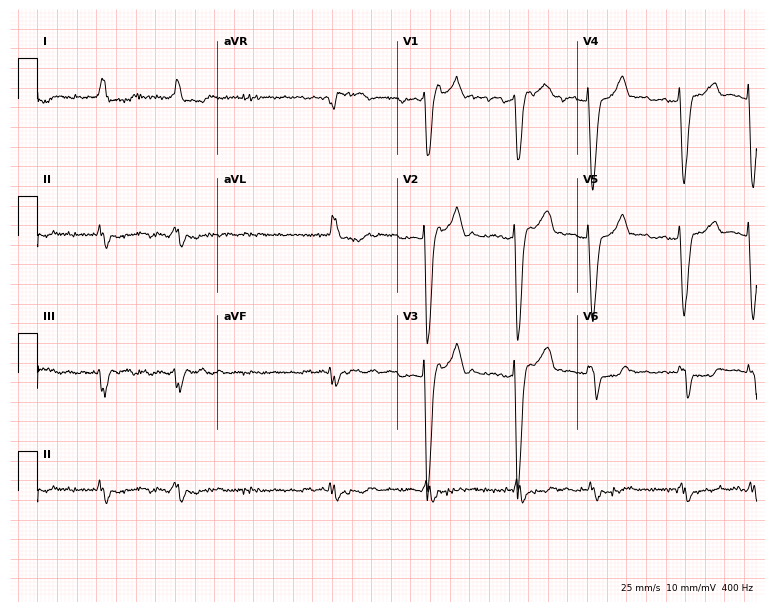
12-lead ECG from a male patient, 78 years old (7.3-second recording at 400 Hz). Shows left bundle branch block (LBBB), atrial fibrillation (AF).